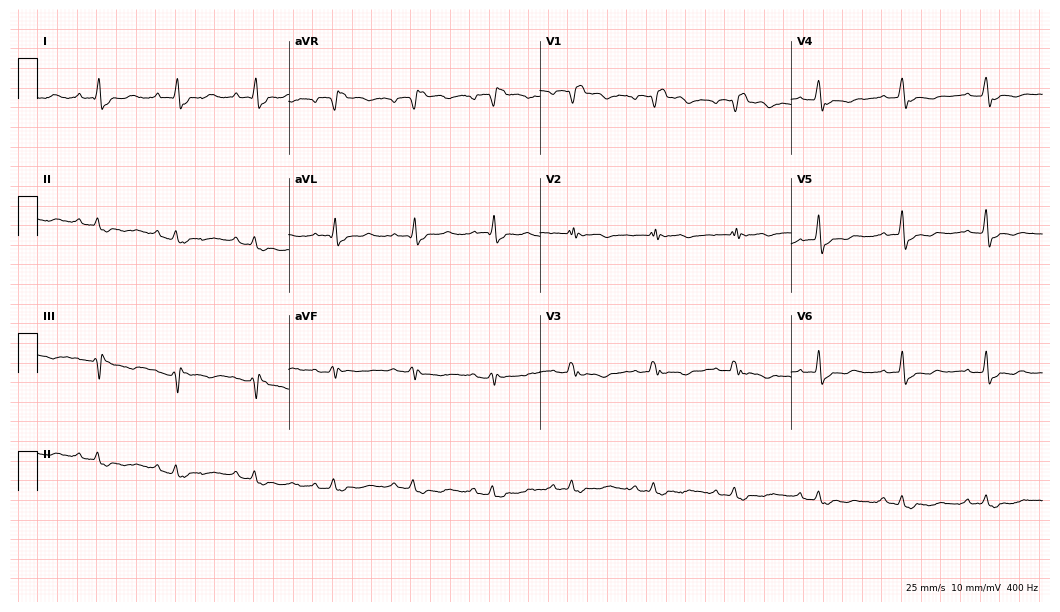
12-lead ECG (10.2-second recording at 400 Hz) from a woman, 66 years old. Findings include right bundle branch block.